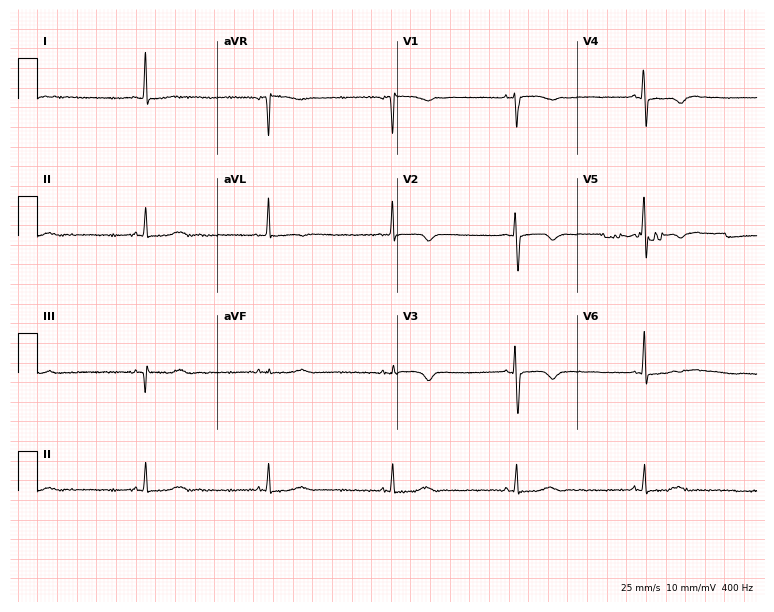
Electrocardiogram (7.3-second recording at 400 Hz), a 68-year-old woman. Interpretation includes sinus bradycardia (a sinus rate of 50 beats per minute or less).